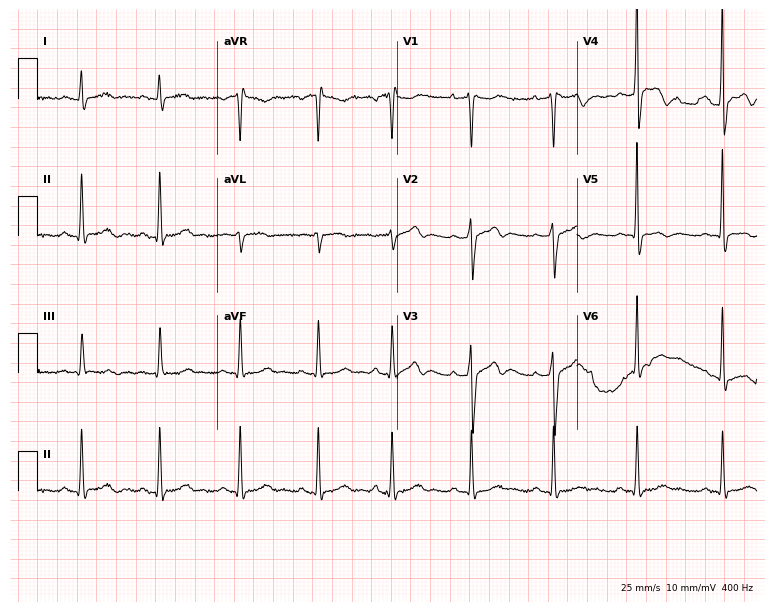
ECG — a 54-year-old man. Screened for six findings — first-degree AV block, right bundle branch block (RBBB), left bundle branch block (LBBB), sinus bradycardia, atrial fibrillation (AF), sinus tachycardia — none is recorded.